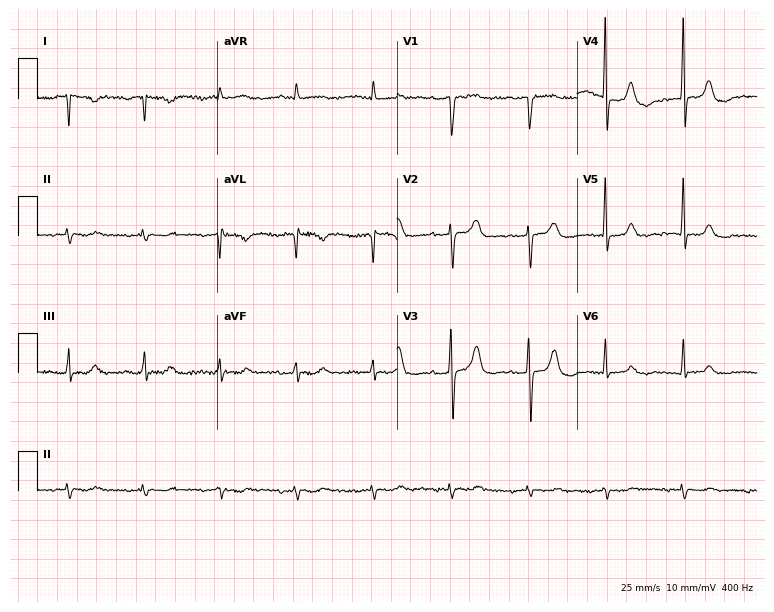
12-lead ECG from a 72-year-old woman (7.3-second recording at 400 Hz). No first-degree AV block, right bundle branch block, left bundle branch block, sinus bradycardia, atrial fibrillation or sinus tachycardia recorded for this tracing. Other findings, if any, are not listed.